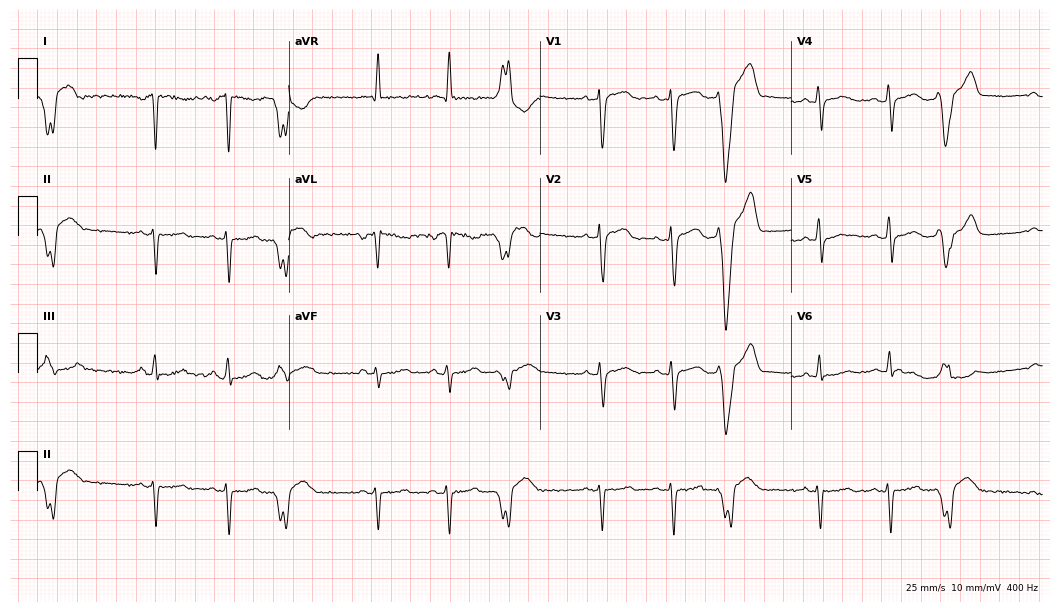
ECG (10.2-second recording at 400 Hz) — a 56-year-old female patient. Screened for six findings — first-degree AV block, right bundle branch block (RBBB), left bundle branch block (LBBB), sinus bradycardia, atrial fibrillation (AF), sinus tachycardia — none is recorded.